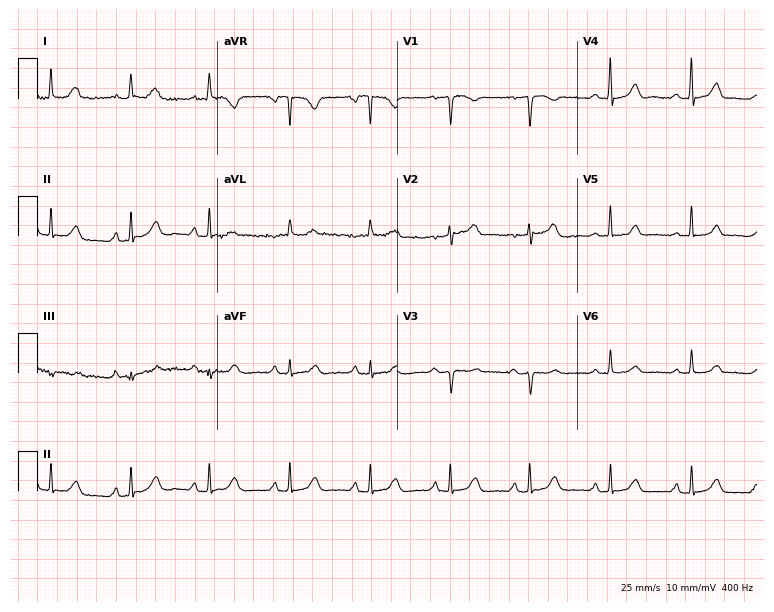
12-lead ECG (7.3-second recording at 400 Hz) from a 65-year-old woman. Labelled as a normal ECG.